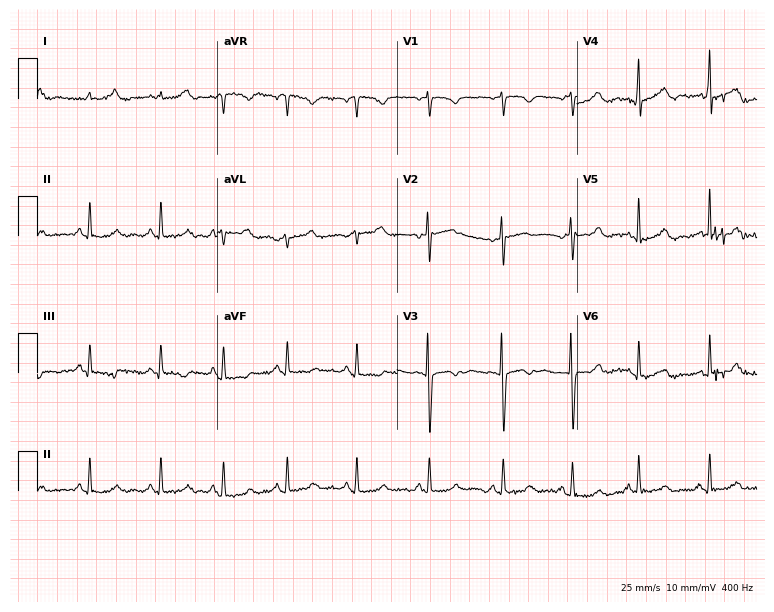
ECG (7.3-second recording at 400 Hz) — a 27-year-old female. Labelled as a normal ECG.